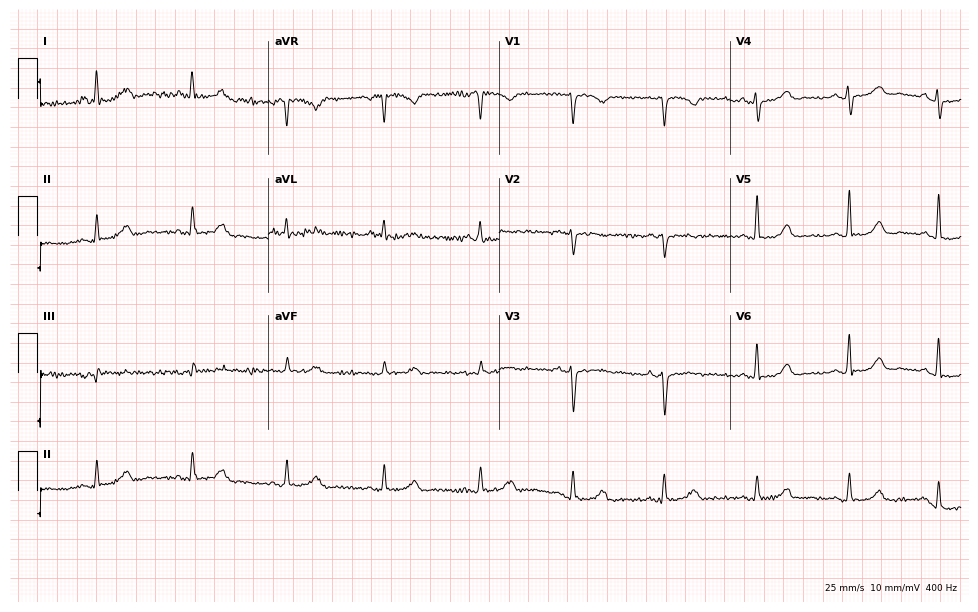
12-lead ECG from a female, 64 years old. Recorded interpretation: within normal limits.